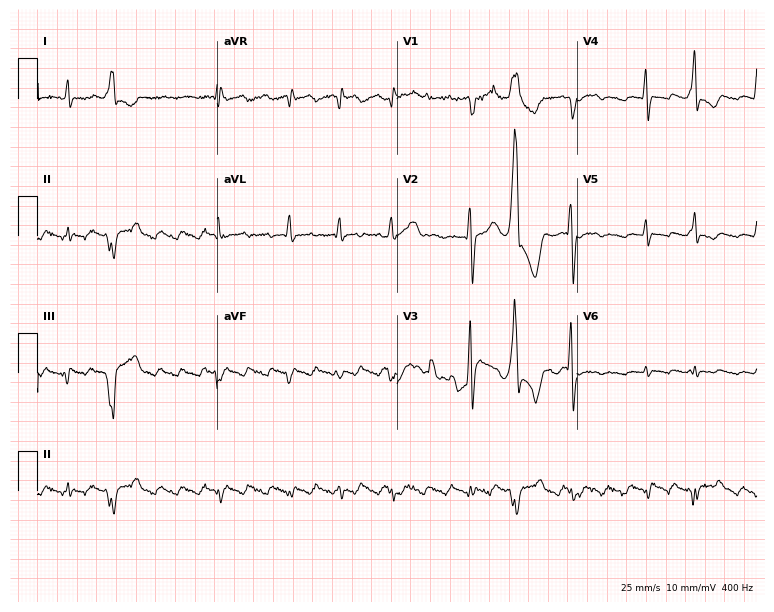
Resting 12-lead electrocardiogram. Patient: a male, 58 years old. The tracing shows atrial fibrillation.